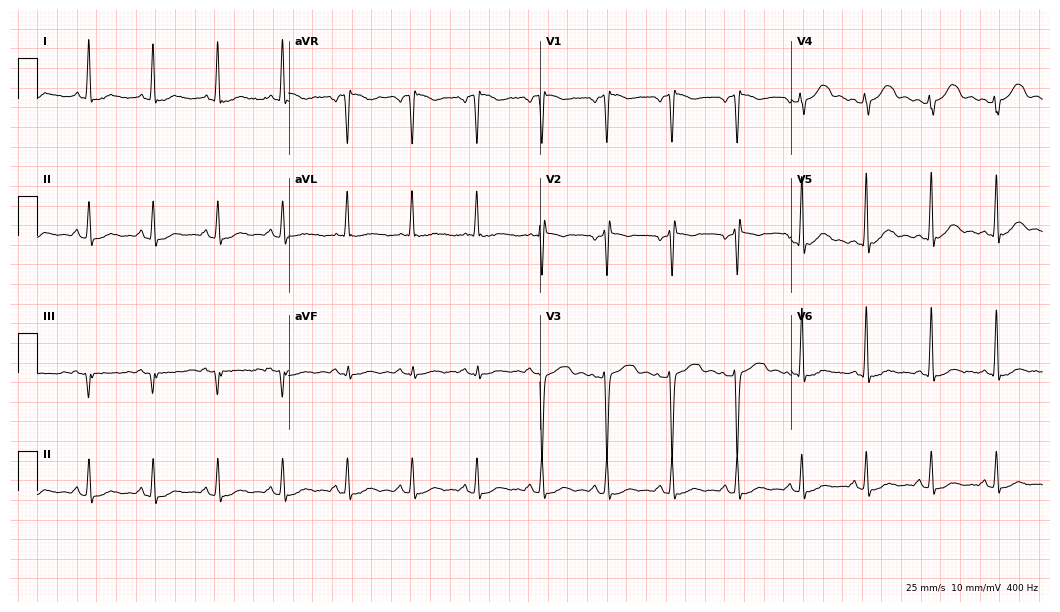
12-lead ECG (10.2-second recording at 400 Hz) from a female patient, 25 years old. Screened for six findings — first-degree AV block, right bundle branch block (RBBB), left bundle branch block (LBBB), sinus bradycardia, atrial fibrillation (AF), sinus tachycardia — none is recorded. Findings outside these six are not listed.